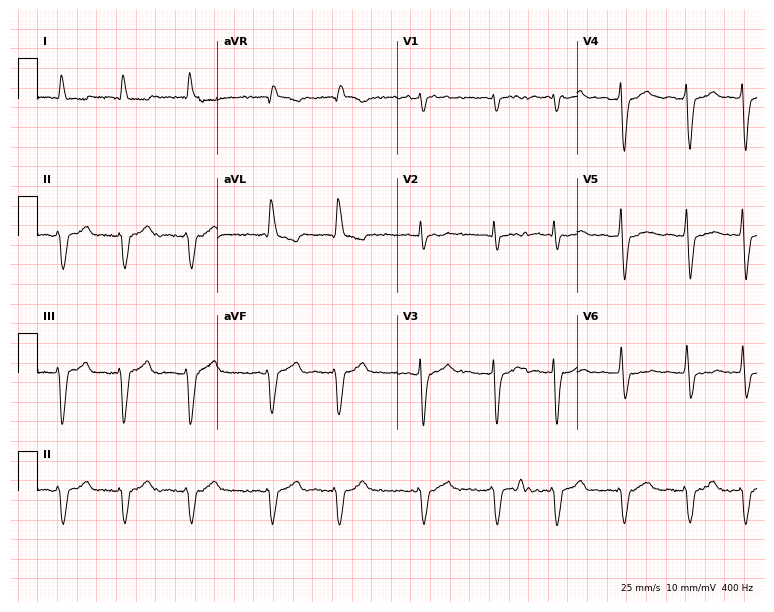
Standard 12-lead ECG recorded from an 85-year-old male (7.3-second recording at 400 Hz). The tracing shows atrial fibrillation (AF).